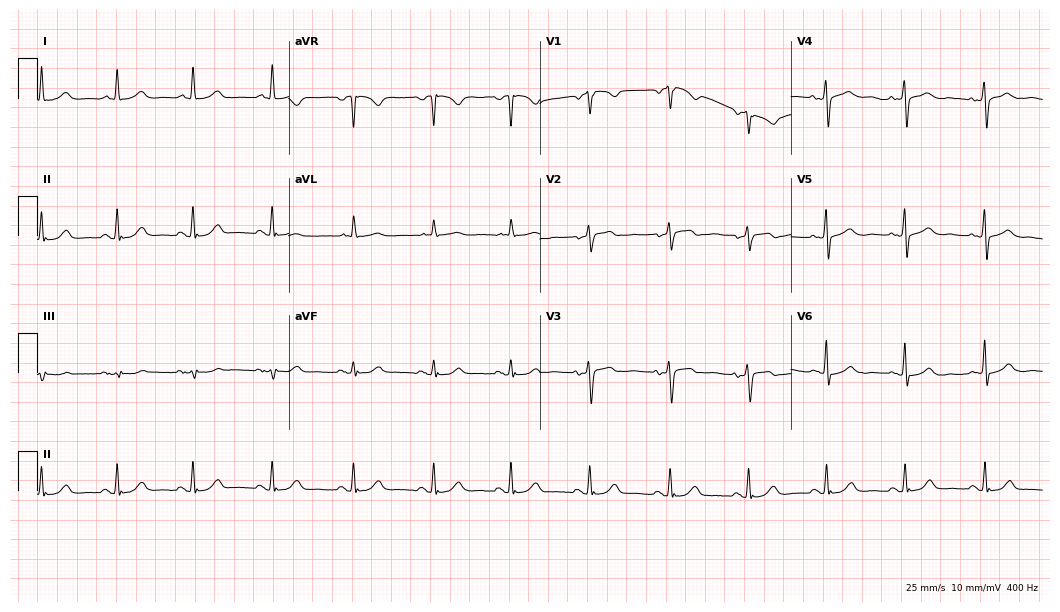
ECG — a female, 72 years old. Labelled as a normal ECG.